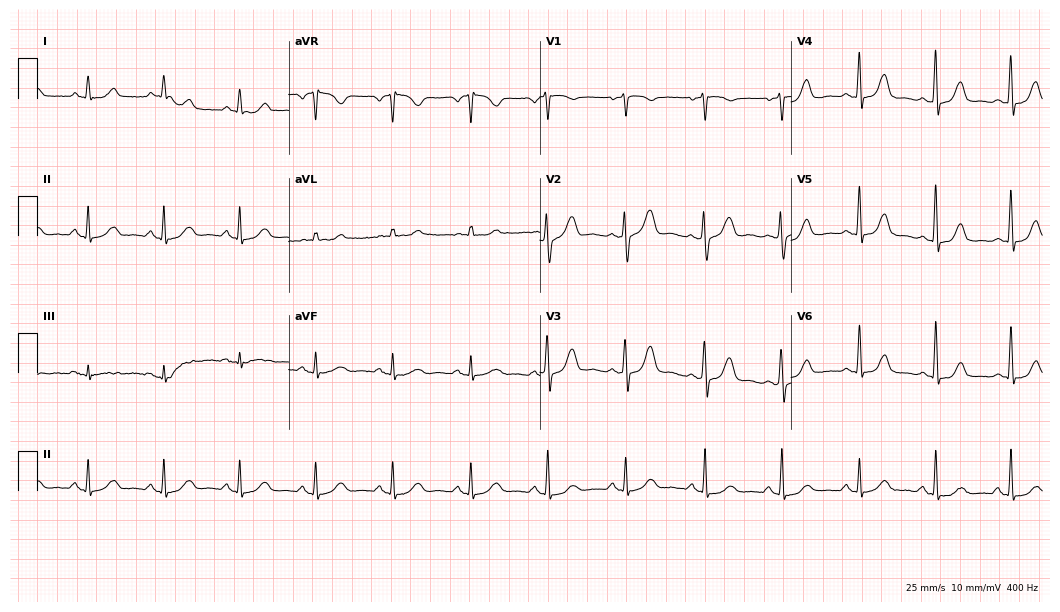
12-lead ECG from a female patient, 46 years old. Recorded interpretation: within normal limits.